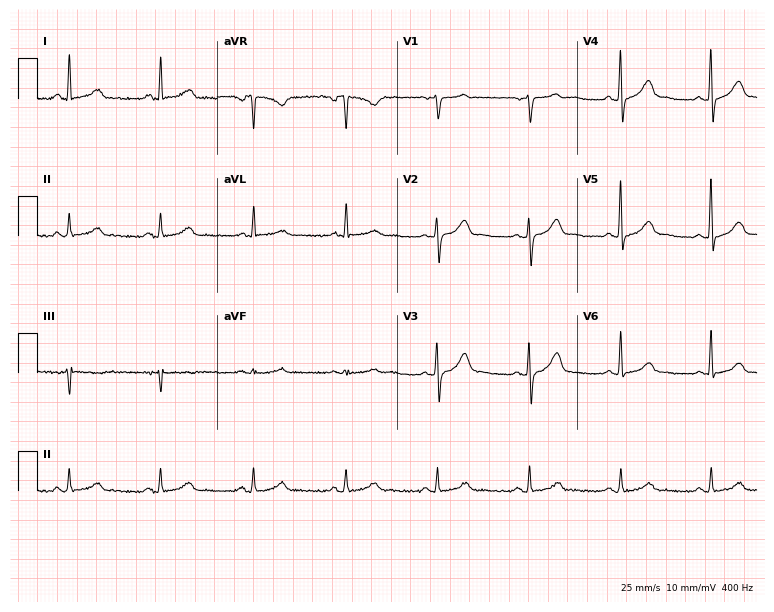
ECG (7.3-second recording at 400 Hz) — a 59-year-old woman. Labelled as a normal ECG.